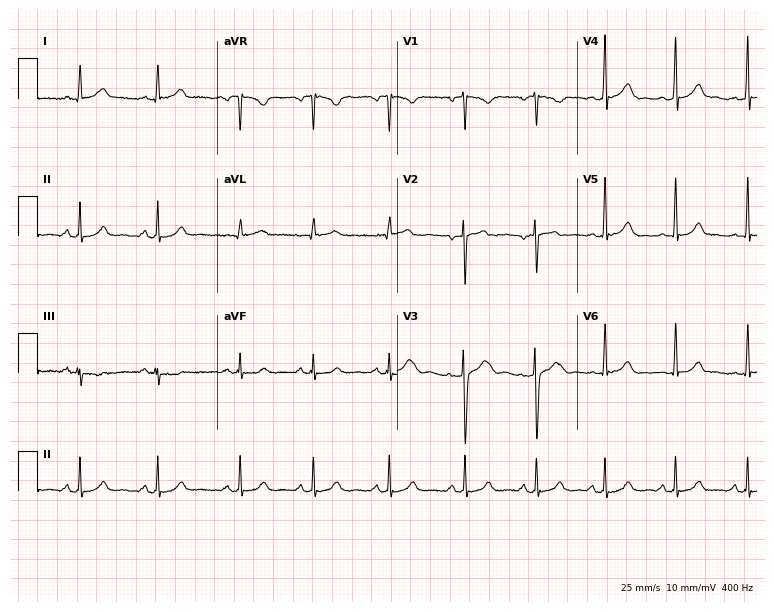
12-lead ECG from a 28-year-old female patient. Screened for six findings — first-degree AV block, right bundle branch block (RBBB), left bundle branch block (LBBB), sinus bradycardia, atrial fibrillation (AF), sinus tachycardia — none is recorded. Only these six findings were labelled.